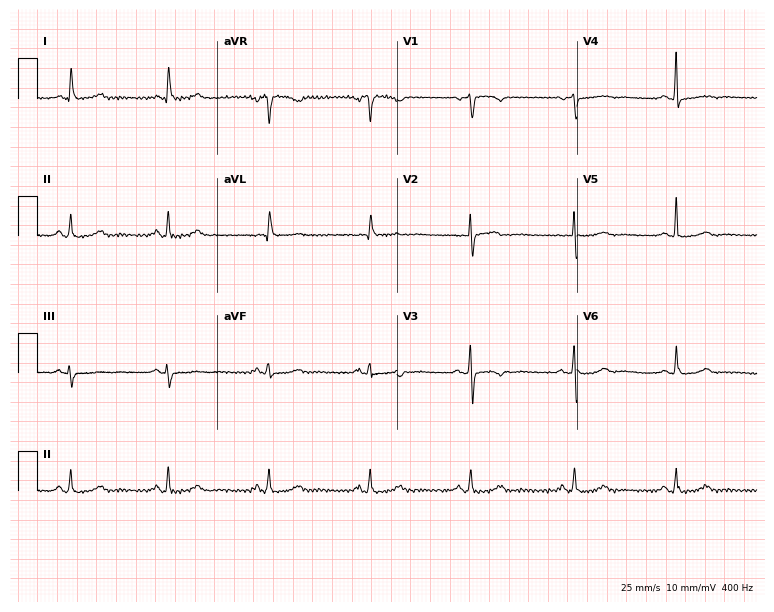
ECG (7.3-second recording at 400 Hz) — a 47-year-old woman. Screened for six findings — first-degree AV block, right bundle branch block (RBBB), left bundle branch block (LBBB), sinus bradycardia, atrial fibrillation (AF), sinus tachycardia — none is recorded.